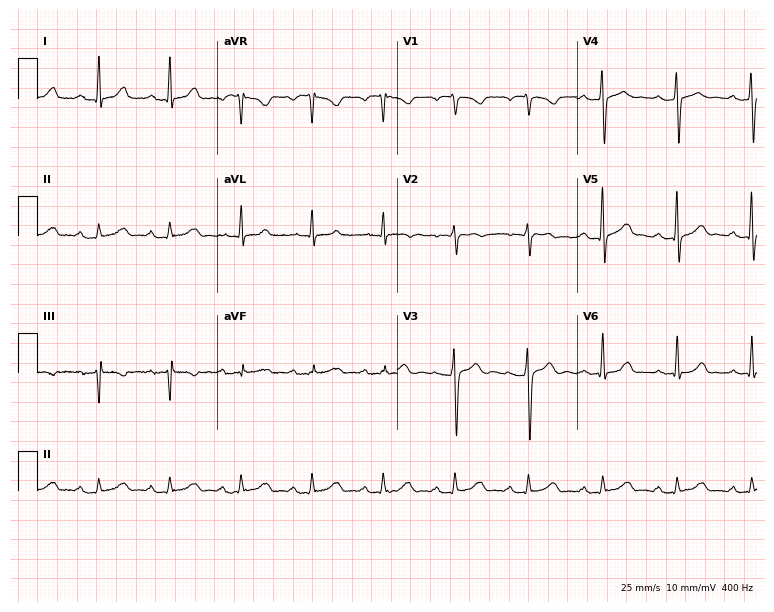
12-lead ECG (7.3-second recording at 400 Hz) from a 35-year-old male. Findings include first-degree AV block.